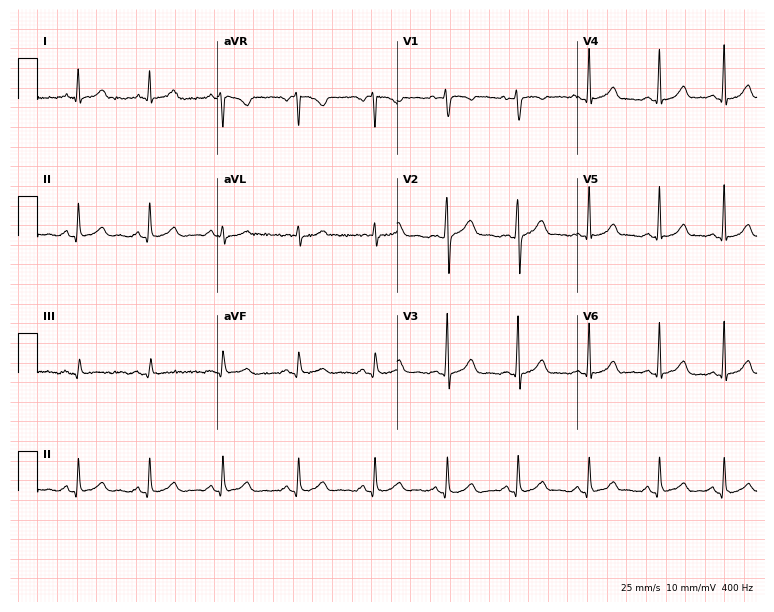
Electrocardiogram, a 30-year-old woman. Overall reading on record: normal ECG.